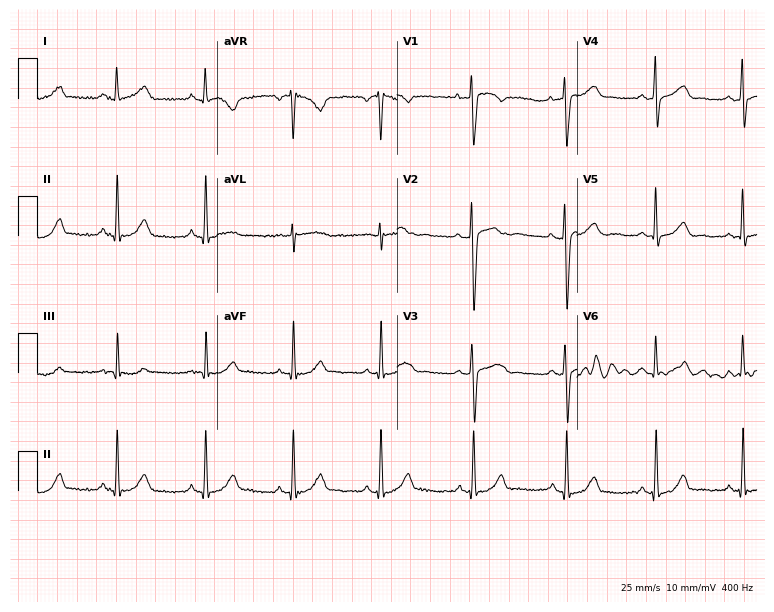
ECG (7.3-second recording at 400 Hz) — a woman, 28 years old. Screened for six findings — first-degree AV block, right bundle branch block, left bundle branch block, sinus bradycardia, atrial fibrillation, sinus tachycardia — none is recorded. Findings outside these six are not listed.